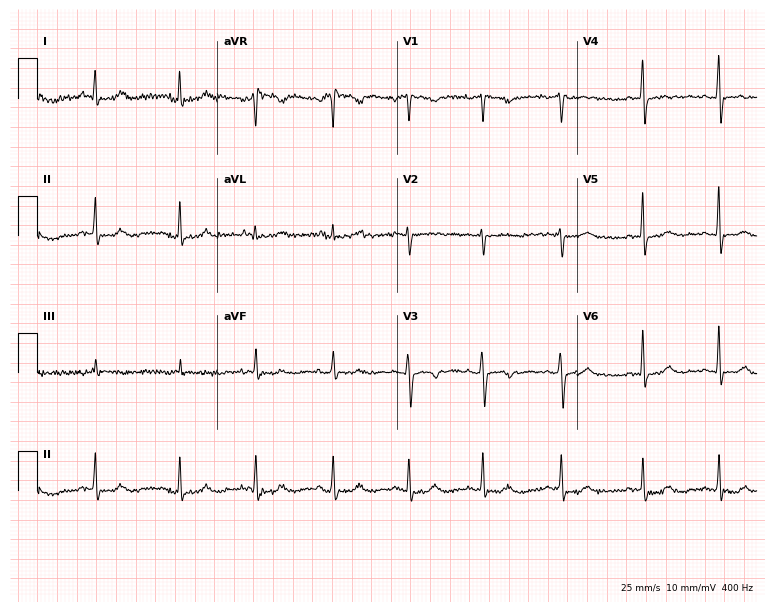
ECG — a 40-year-old female patient. Screened for six findings — first-degree AV block, right bundle branch block, left bundle branch block, sinus bradycardia, atrial fibrillation, sinus tachycardia — none is recorded. Findings outside these six are not listed.